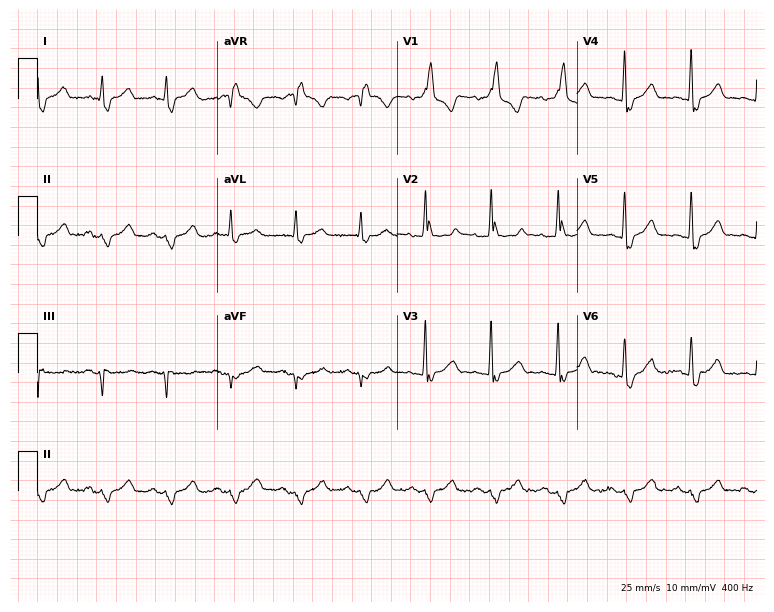
Electrocardiogram, a male patient, 73 years old. Interpretation includes right bundle branch block.